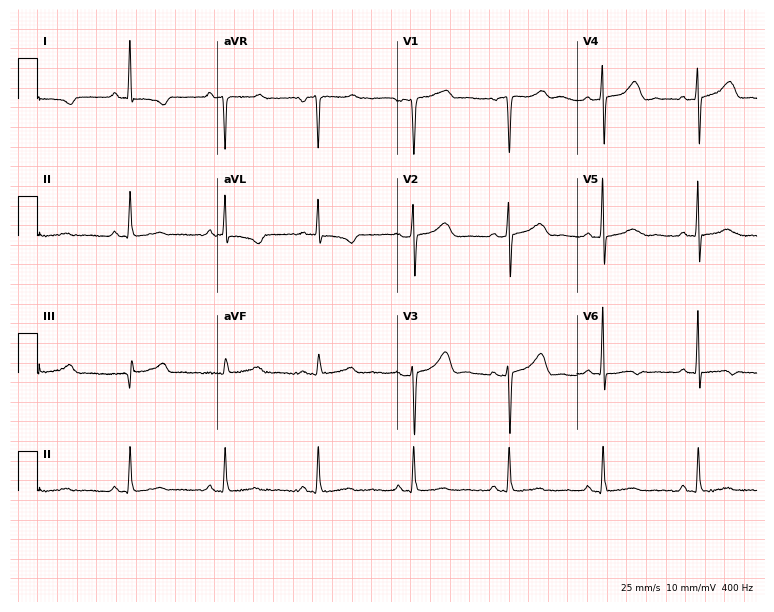
Resting 12-lead electrocardiogram. Patient: a female, 43 years old. None of these six findings is recorded: first-degree AV block, right bundle branch block, left bundle branch block, sinus bradycardia, atrial fibrillation, sinus tachycardia.